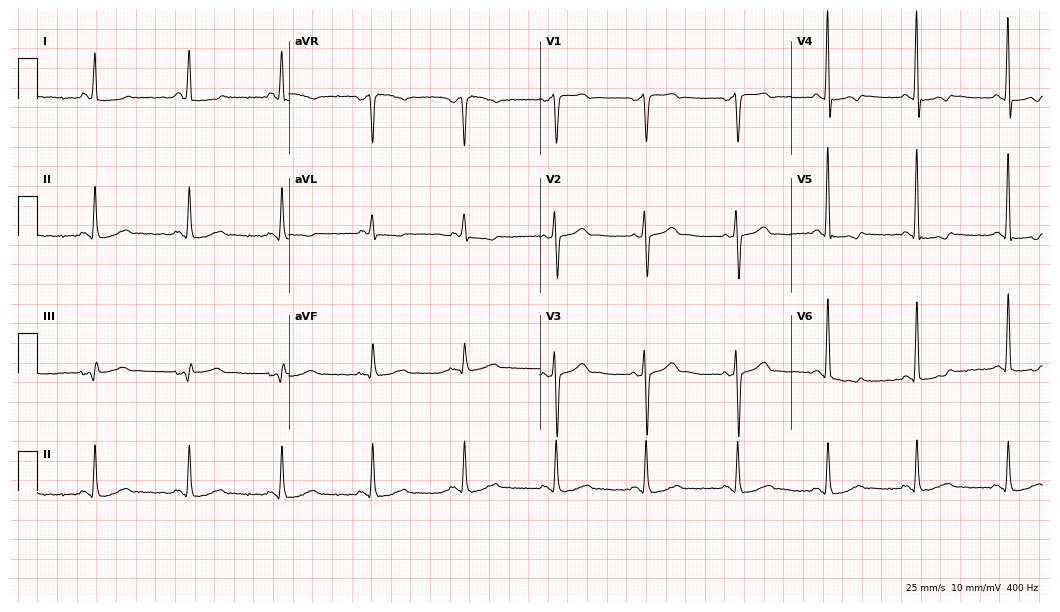
Electrocardiogram (10.2-second recording at 400 Hz), a 50-year-old male patient. Of the six screened findings (first-degree AV block, right bundle branch block, left bundle branch block, sinus bradycardia, atrial fibrillation, sinus tachycardia), none is recorded. Findings outside these six are not listed.